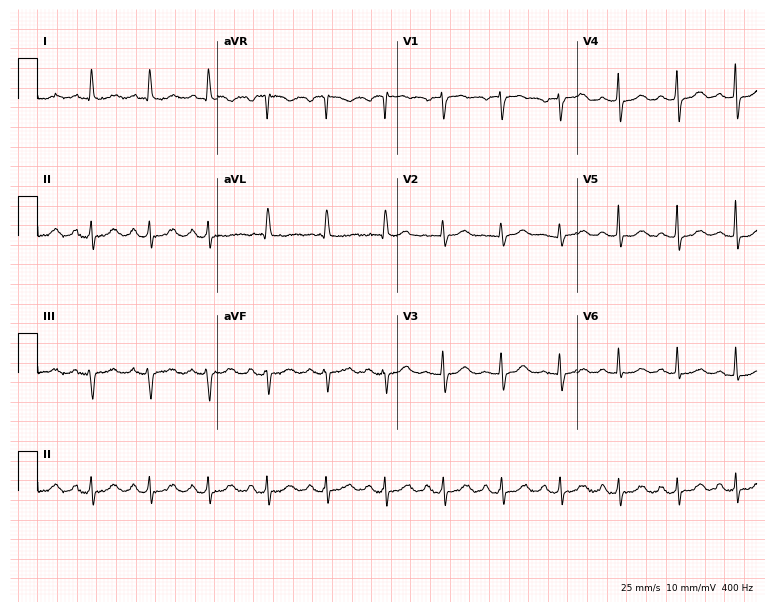
ECG — a 74-year-old female patient. Findings include sinus tachycardia (a sinus rate of 100 beats per minute or more).